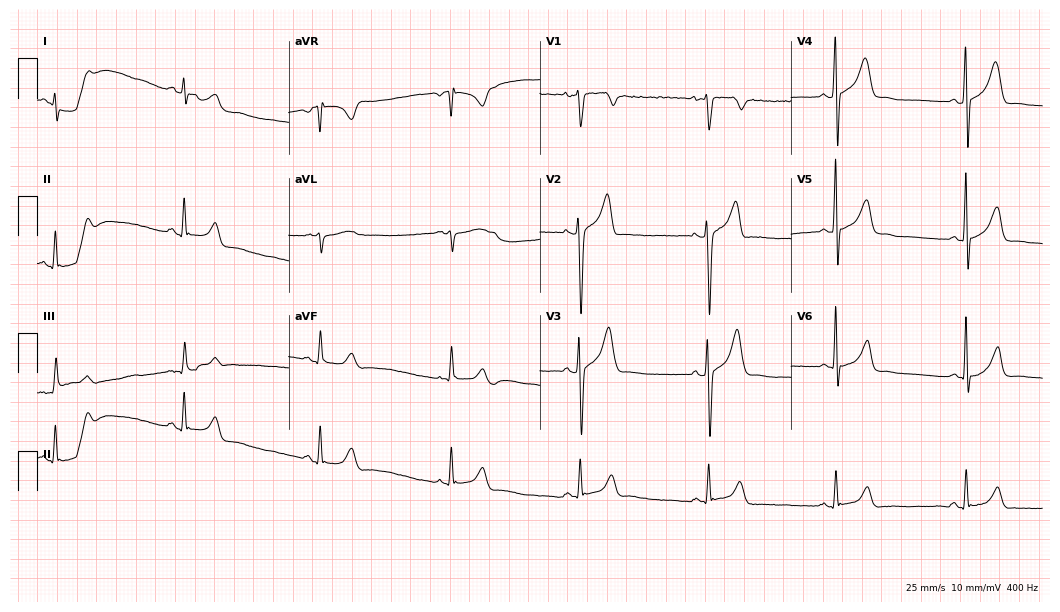
12-lead ECG from a male patient, 34 years old. Findings include sinus bradycardia (a sinus rate of 50 beats per minute or less).